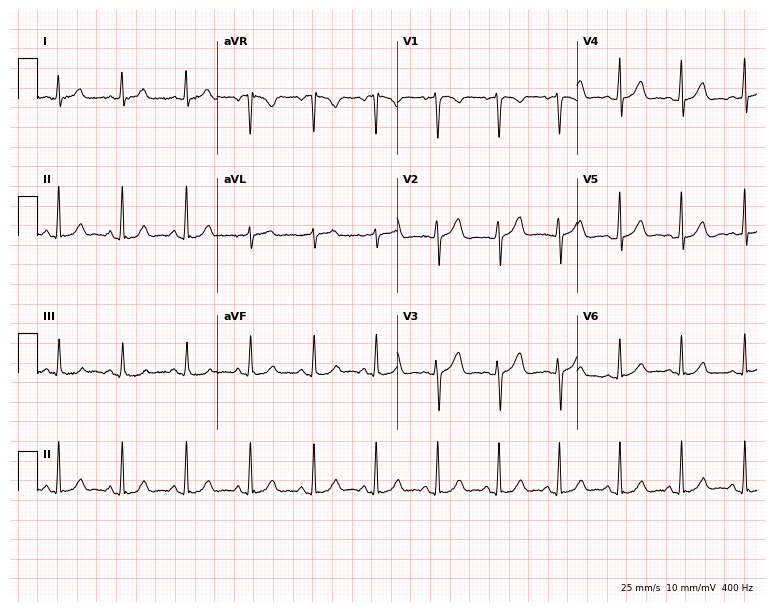
ECG — a female, 29 years old. Labelled as a normal ECG.